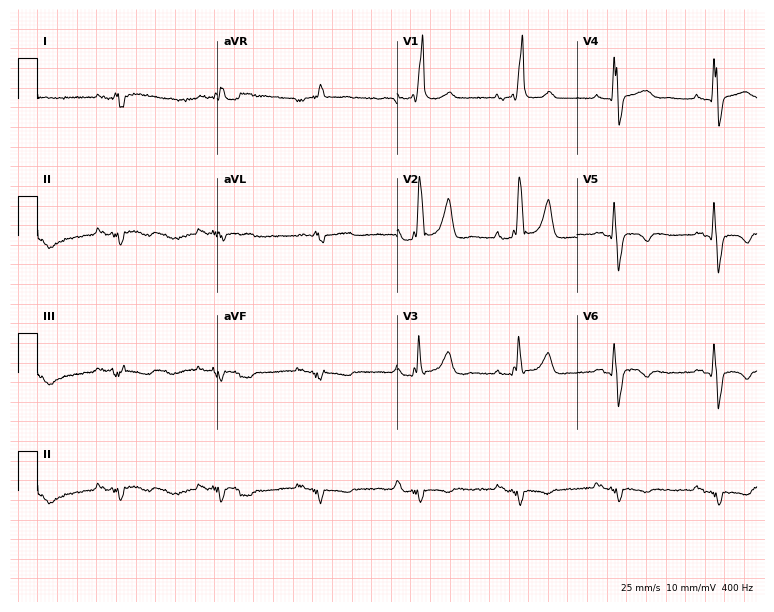
Electrocardiogram (7.3-second recording at 400 Hz), a man, 52 years old. Interpretation includes right bundle branch block (RBBB).